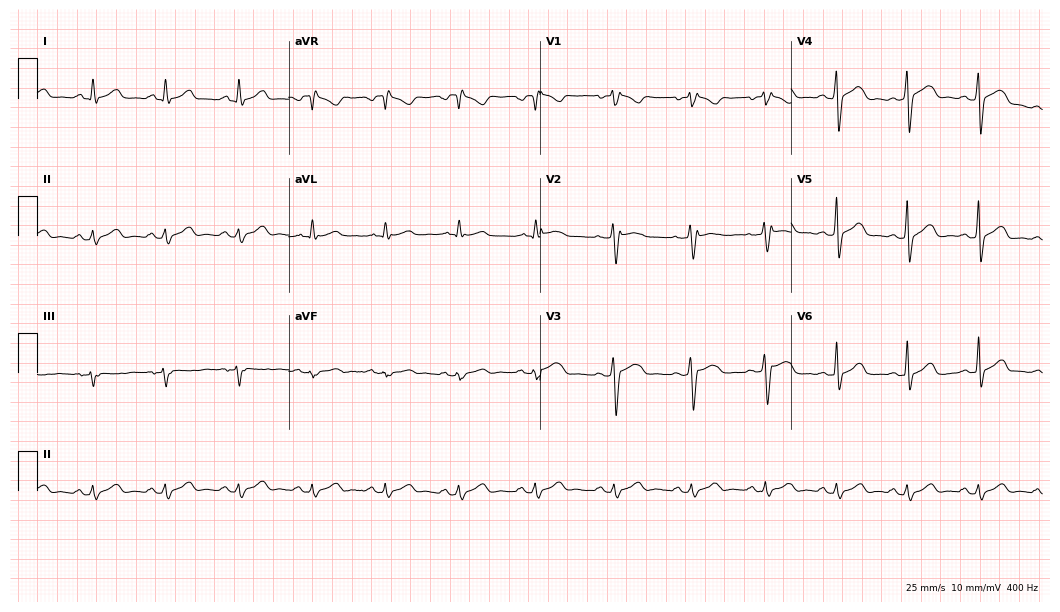
Resting 12-lead electrocardiogram (10.2-second recording at 400 Hz). Patient: a male, 29 years old. None of these six findings is recorded: first-degree AV block, right bundle branch block (RBBB), left bundle branch block (LBBB), sinus bradycardia, atrial fibrillation (AF), sinus tachycardia.